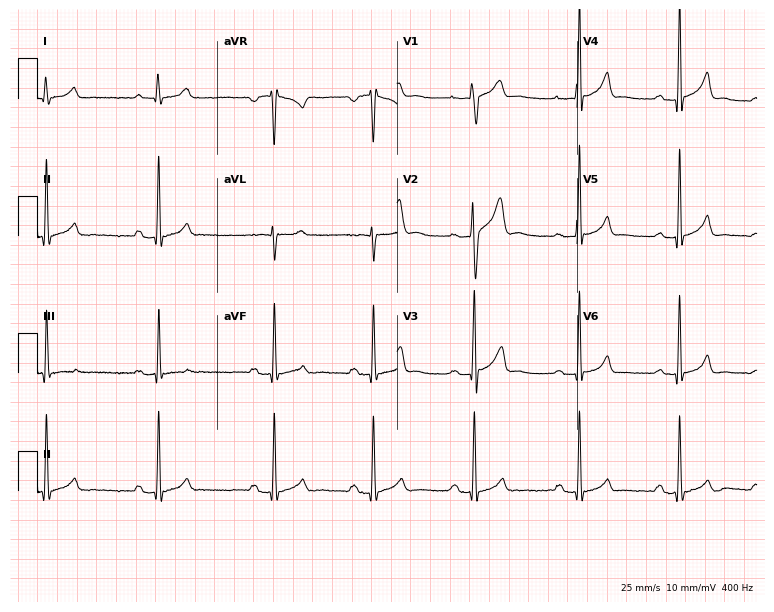
Electrocardiogram, a 24-year-old male patient. Overall reading on record: normal ECG.